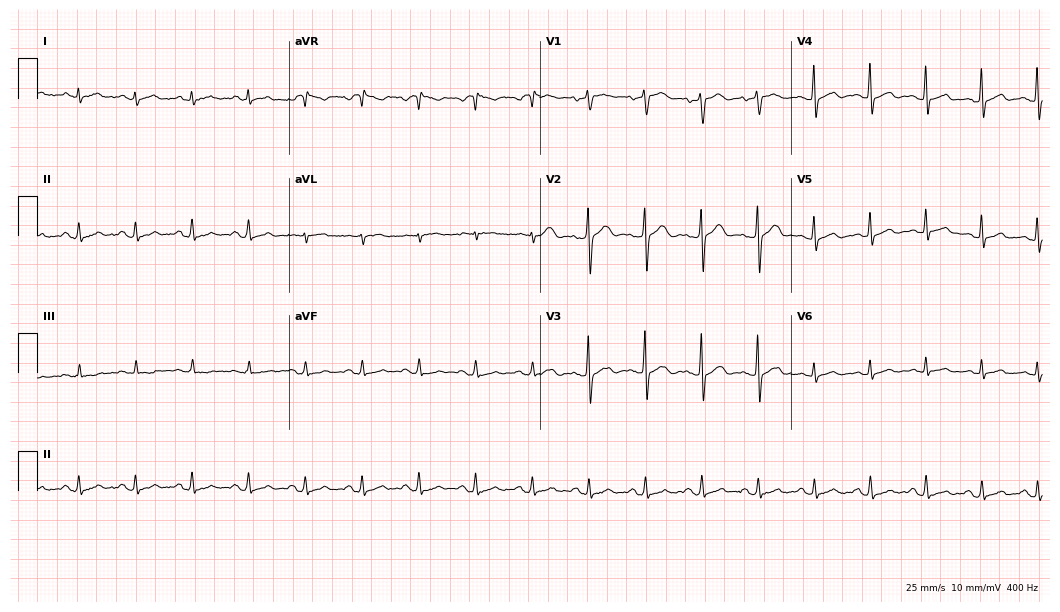
Resting 12-lead electrocardiogram. Patient: a 58-year-old man. The tracing shows sinus tachycardia (a sinus rate of 100 beats per minute or more).